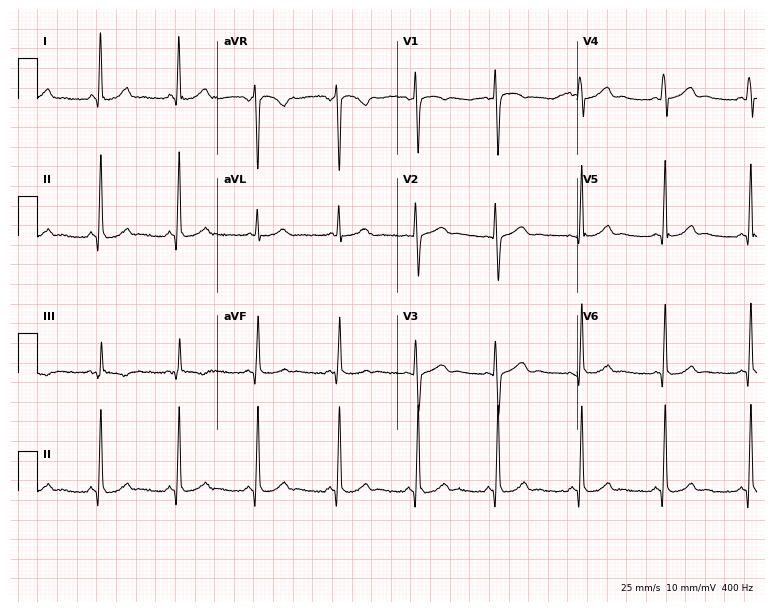
Resting 12-lead electrocardiogram. Patient: a 29-year-old woman. None of these six findings is recorded: first-degree AV block, right bundle branch block, left bundle branch block, sinus bradycardia, atrial fibrillation, sinus tachycardia.